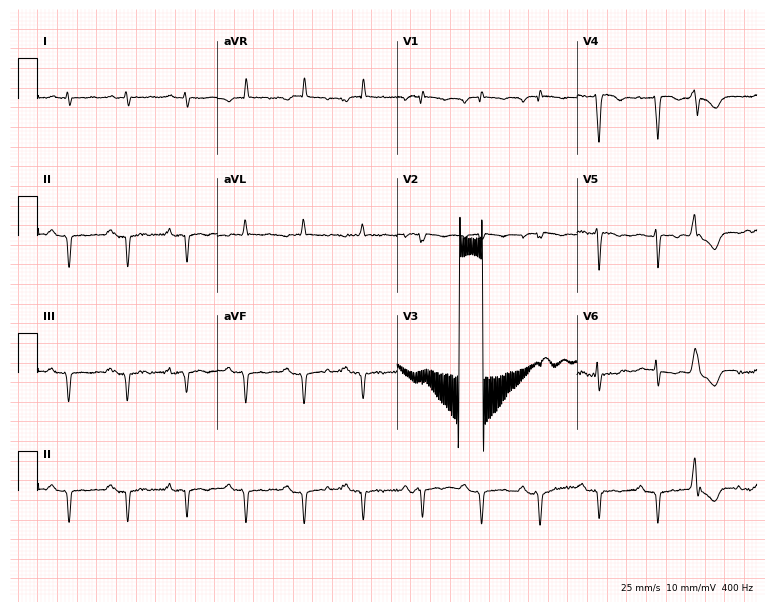
ECG (7.3-second recording at 400 Hz) — an 82-year-old male patient. Screened for six findings — first-degree AV block, right bundle branch block (RBBB), left bundle branch block (LBBB), sinus bradycardia, atrial fibrillation (AF), sinus tachycardia — none is recorded.